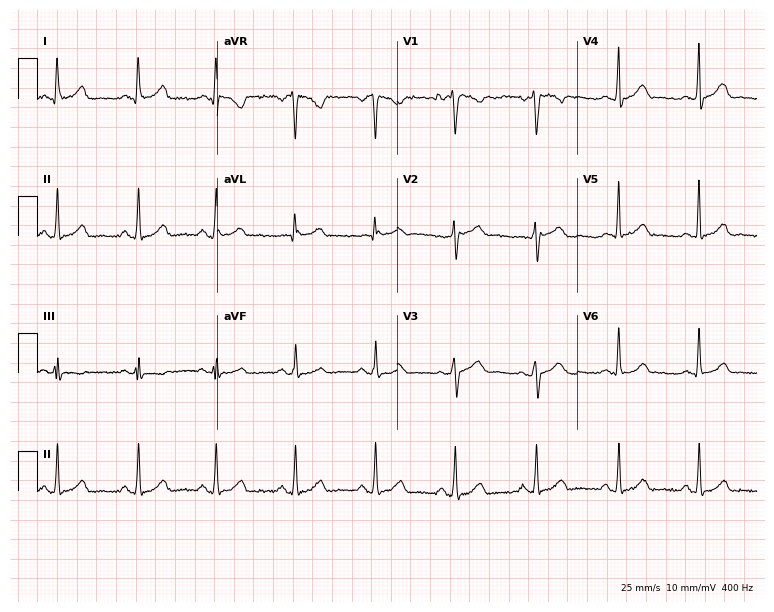
Electrocardiogram (7.3-second recording at 400 Hz), a female patient, 46 years old. Overall reading on record: normal ECG.